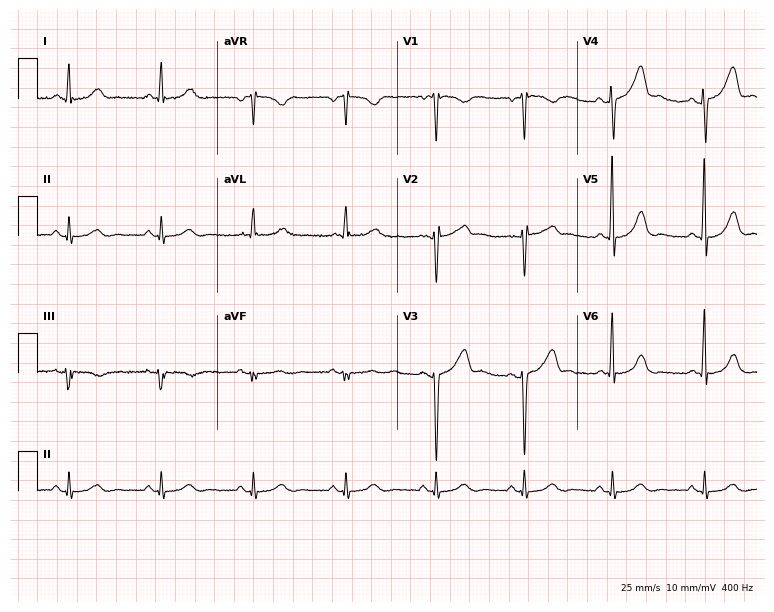
Standard 12-lead ECG recorded from a 46-year-old male (7.3-second recording at 400 Hz). None of these six findings is recorded: first-degree AV block, right bundle branch block, left bundle branch block, sinus bradycardia, atrial fibrillation, sinus tachycardia.